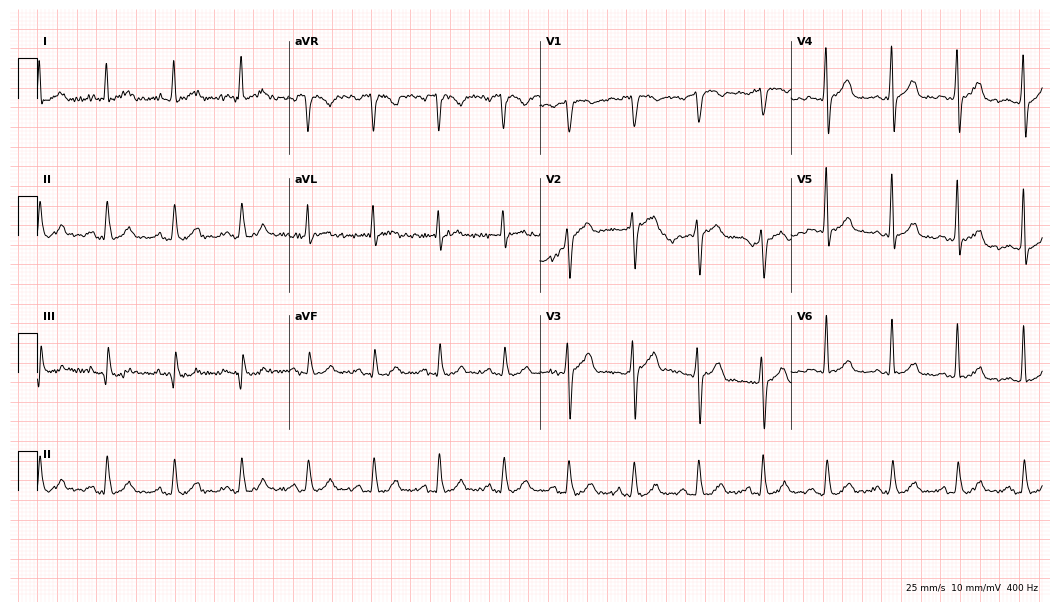
ECG — a man, 57 years old. Screened for six findings — first-degree AV block, right bundle branch block, left bundle branch block, sinus bradycardia, atrial fibrillation, sinus tachycardia — none is recorded.